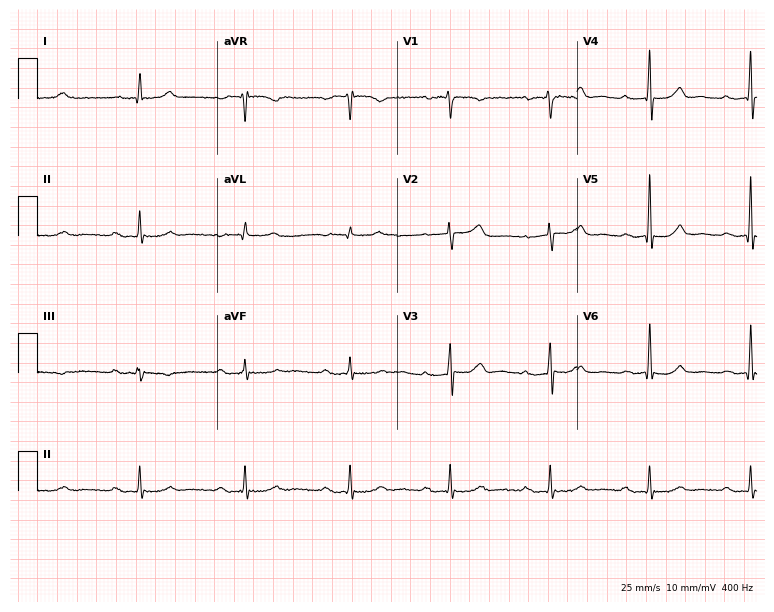
ECG — a man, 69 years old. Findings include first-degree AV block.